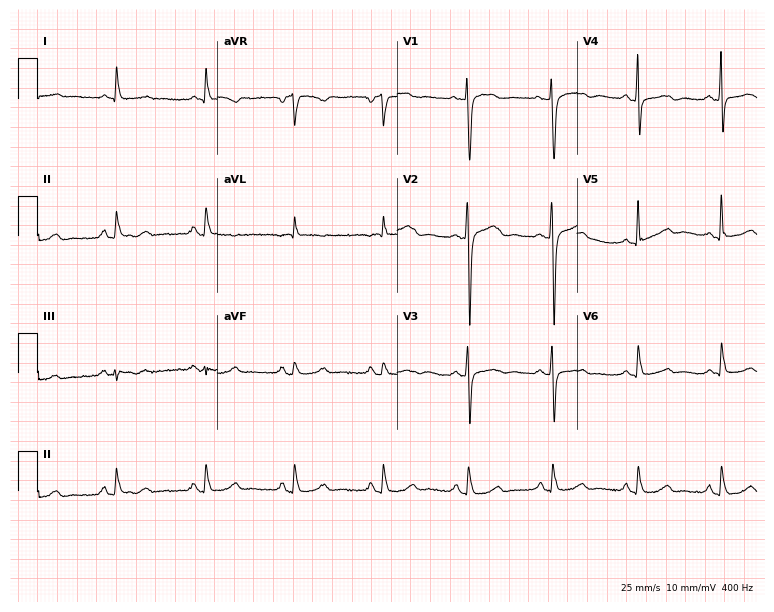
12-lead ECG (7.3-second recording at 400 Hz) from a 73-year-old female patient. Labelled as a normal ECG.